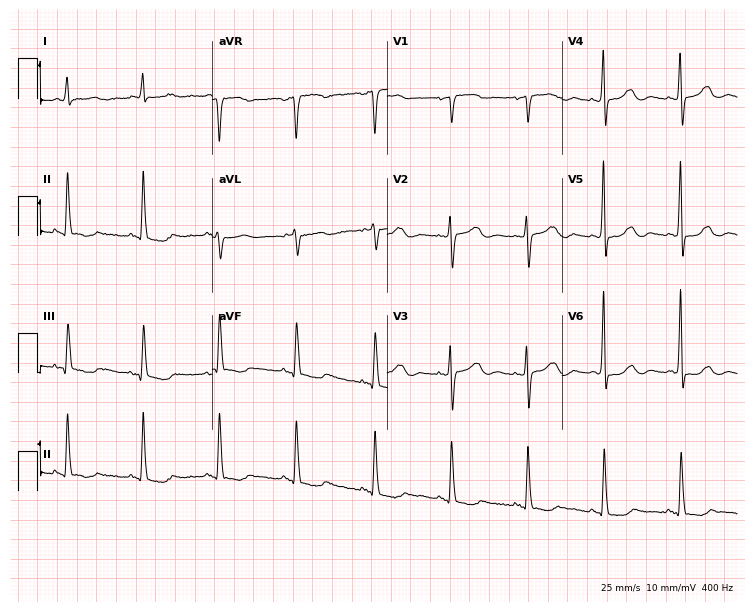
12-lead ECG (7.1-second recording at 400 Hz) from a female patient, 80 years old. Screened for six findings — first-degree AV block, right bundle branch block, left bundle branch block, sinus bradycardia, atrial fibrillation, sinus tachycardia — none is recorded. Findings outside these six are not listed.